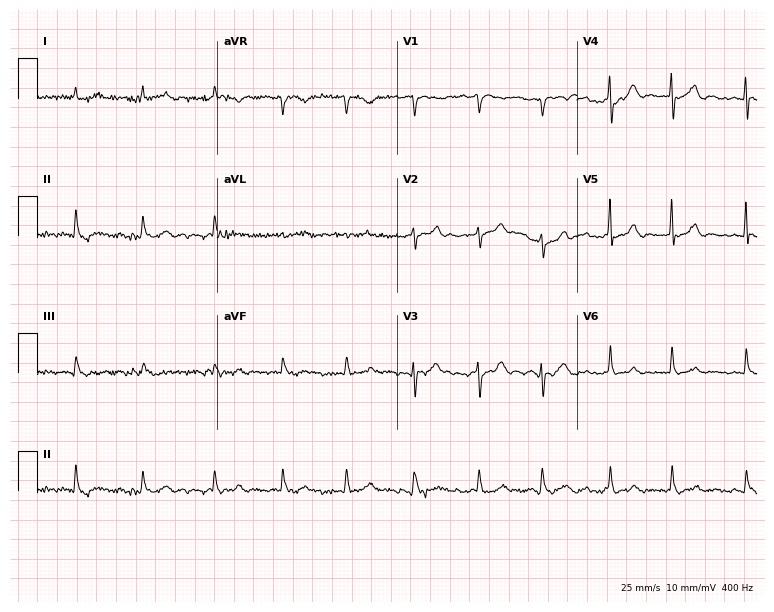
12-lead ECG (7.3-second recording at 400 Hz) from a male, 70 years old. Screened for six findings — first-degree AV block, right bundle branch block, left bundle branch block, sinus bradycardia, atrial fibrillation, sinus tachycardia — none is recorded. Other findings, if any, are not listed.